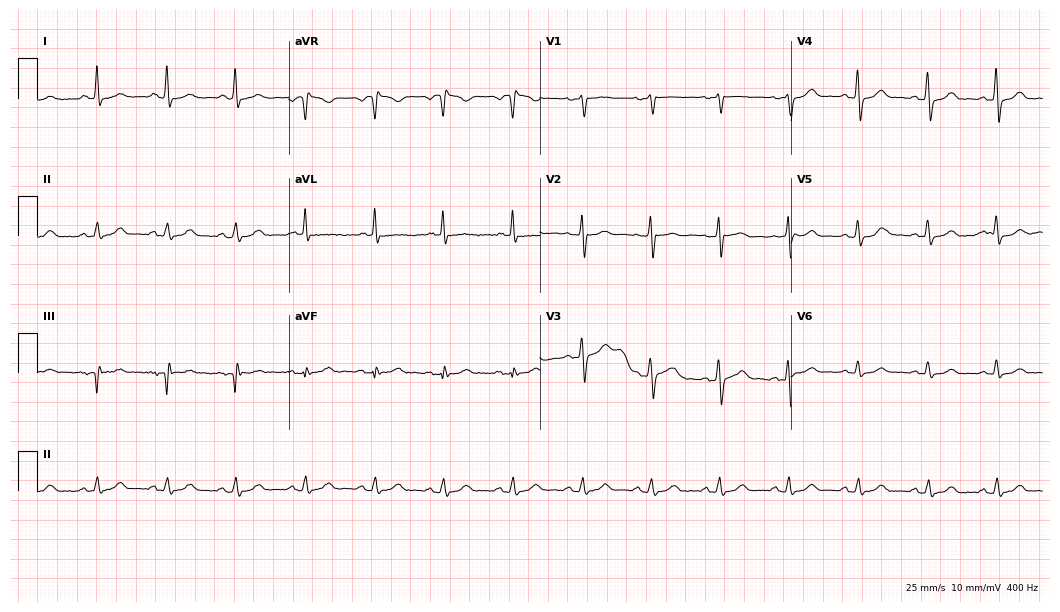
Resting 12-lead electrocardiogram (10.2-second recording at 400 Hz). Patient: a female, 56 years old. None of these six findings is recorded: first-degree AV block, right bundle branch block, left bundle branch block, sinus bradycardia, atrial fibrillation, sinus tachycardia.